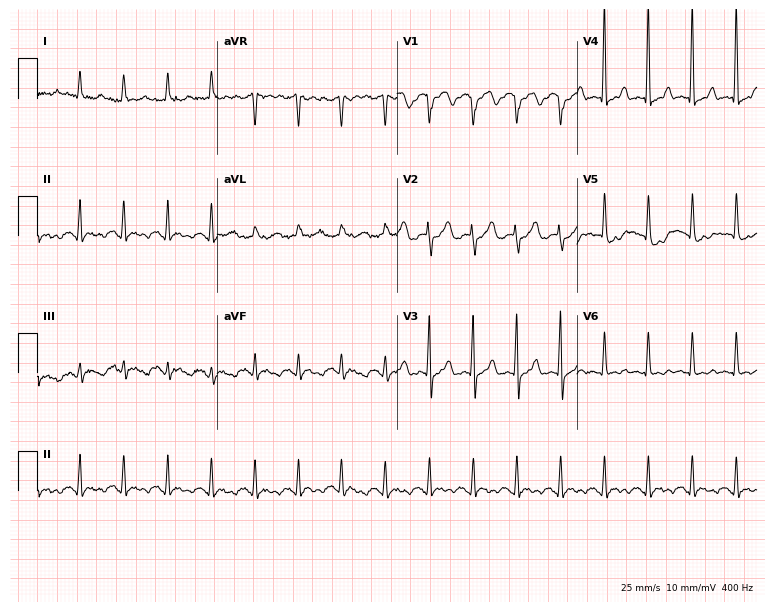
12-lead ECG from a 77-year-old female. Screened for six findings — first-degree AV block, right bundle branch block, left bundle branch block, sinus bradycardia, atrial fibrillation, sinus tachycardia — none is recorded. Only these six findings were labelled.